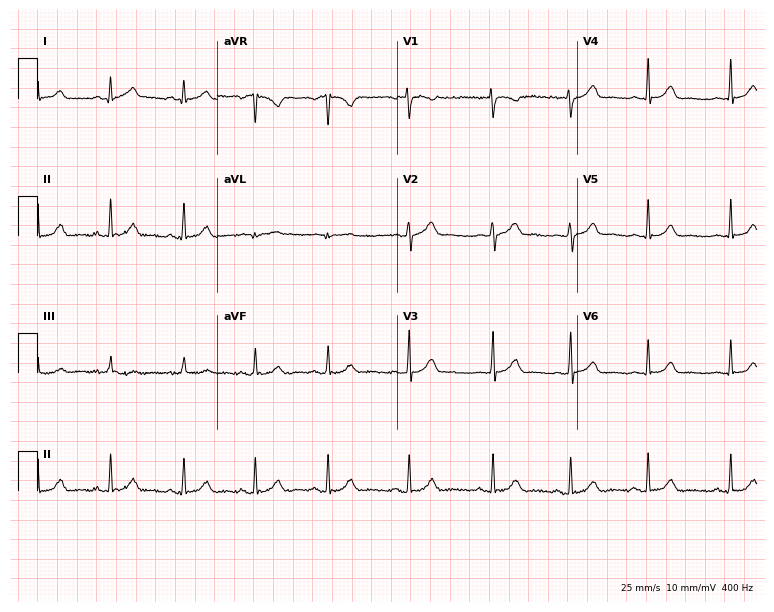
ECG (7.3-second recording at 400 Hz) — a female patient, 21 years old. Labelled as a normal ECG.